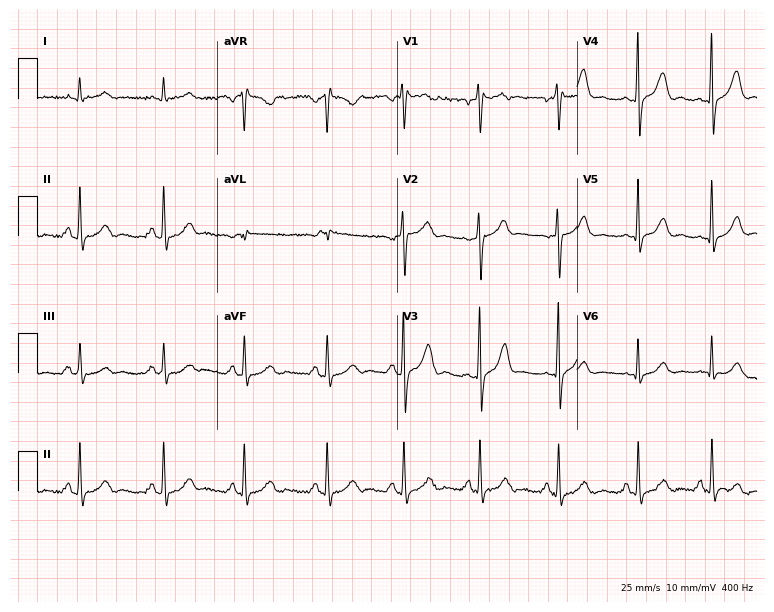
ECG — a 28-year-old male patient. Screened for six findings — first-degree AV block, right bundle branch block (RBBB), left bundle branch block (LBBB), sinus bradycardia, atrial fibrillation (AF), sinus tachycardia — none is recorded. Only these six findings were labelled.